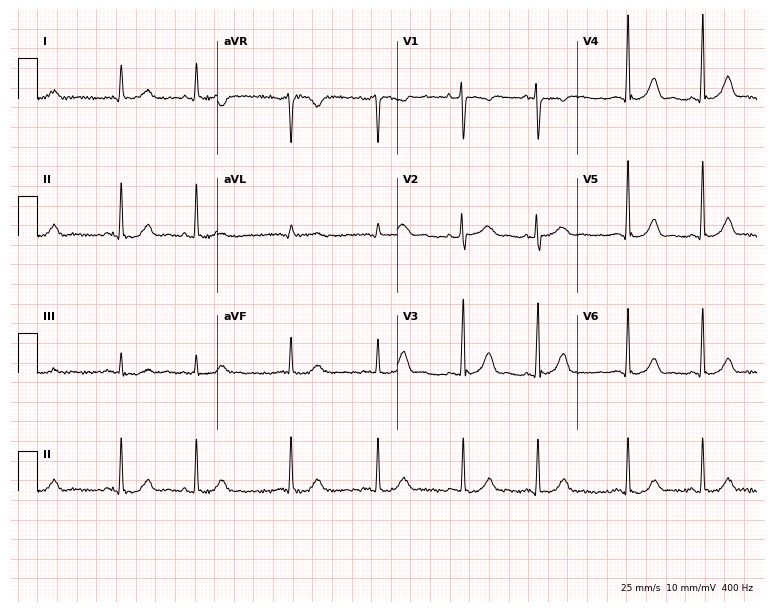
ECG (7.3-second recording at 400 Hz) — a 38-year-old female. Labelled as a normal ECG.